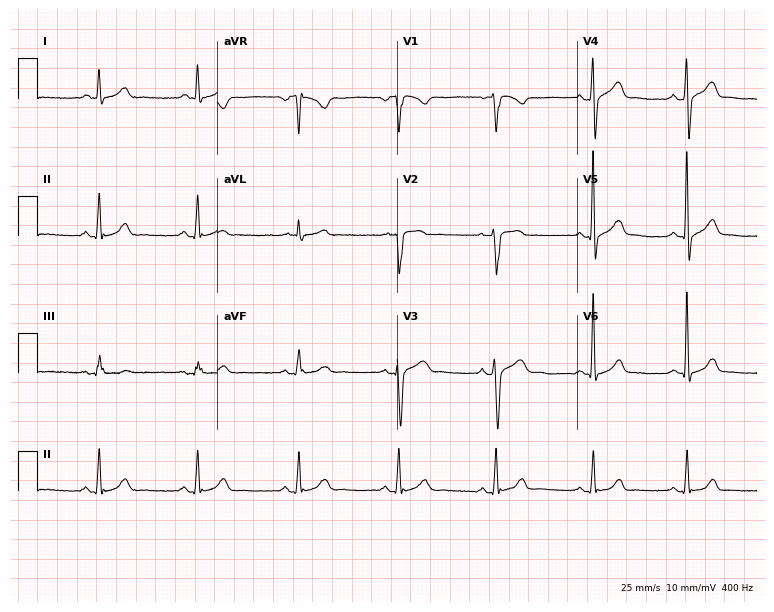
ECG — a 52-year-old male. Labelled as a normal ECG.